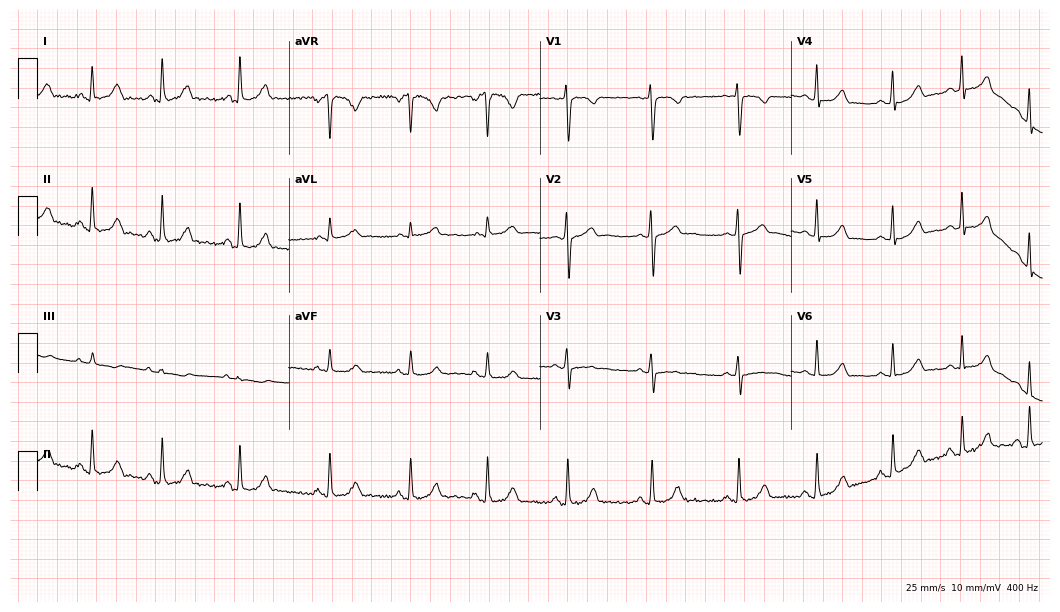
Standard 12-lead ECG recorded from a female patient, 18 years old (10.2-second recording at 400 Hz). Read as a normal ECG.